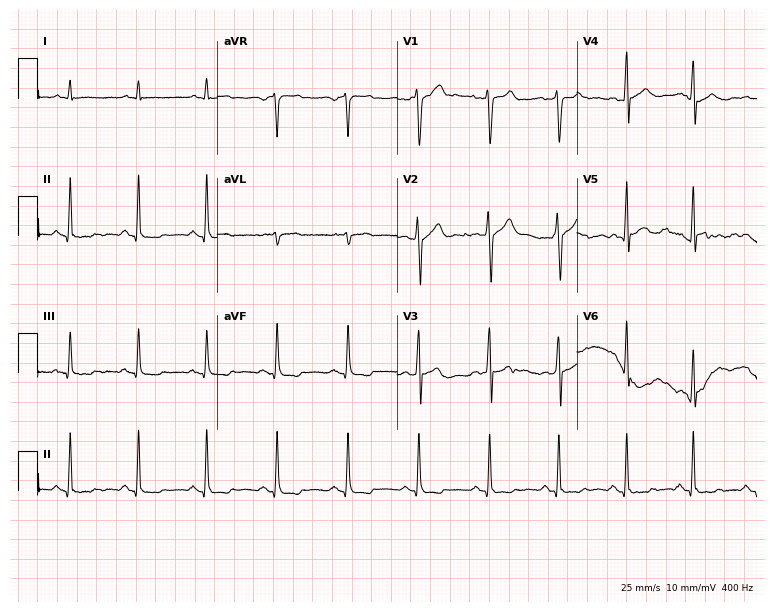
Resting 12-lead electrocardiogram. Patient: a male, 45 years old. Read as a normal ECG.